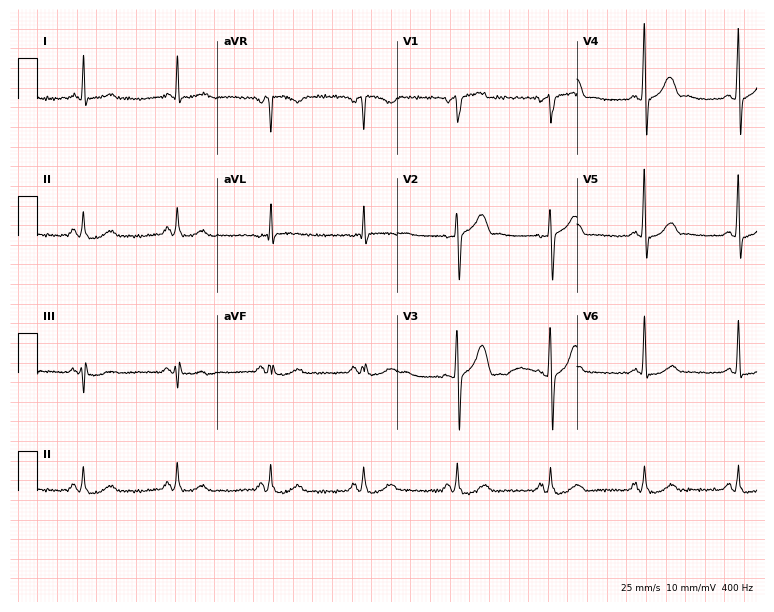
Resting 12-lead electrocardiogram (7.3-second recording at 400 Hz). Patient: a man, 77 years old. None of these six findings is recorded: first-degree AV block, right bundle branch block, left bundle branch block, sinus bradycardia, atrial fibrillation, sinus tachycardia. Other findings, if any, are not listed.